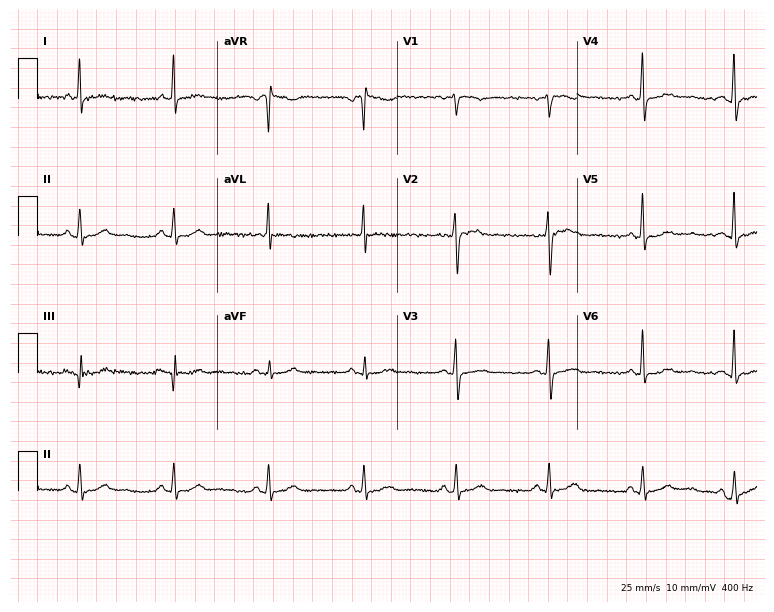
Resting 12-lead electrocardiogram. Patient: a female, 61 years old. None of these six findings is recorded: first-degree AV block, right bundle branch block, left bundle branch block, sinus bradycardia, atrial fibrillation, sinus tachycardia. Other findings, if any, are not listed.